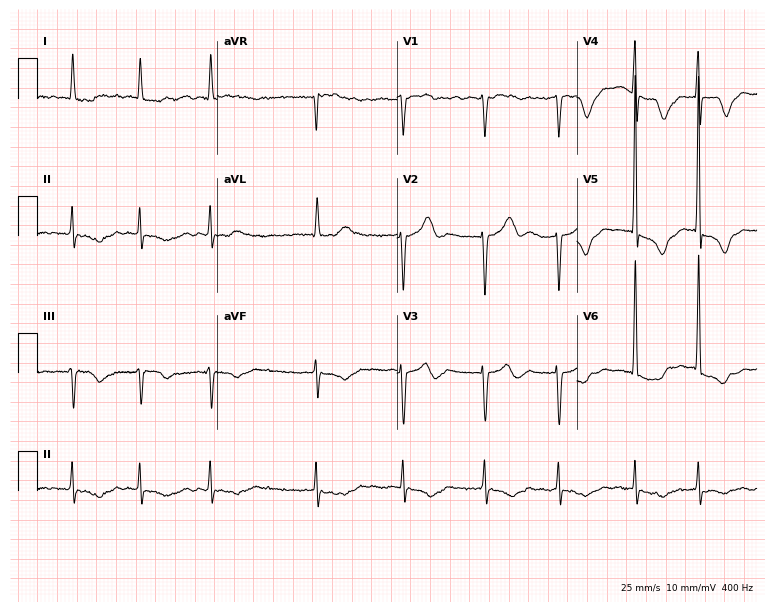
Resting 12-lead electrocardiogram. Patient: a female, 79 years old. The tracing shows atrial fibrillation.